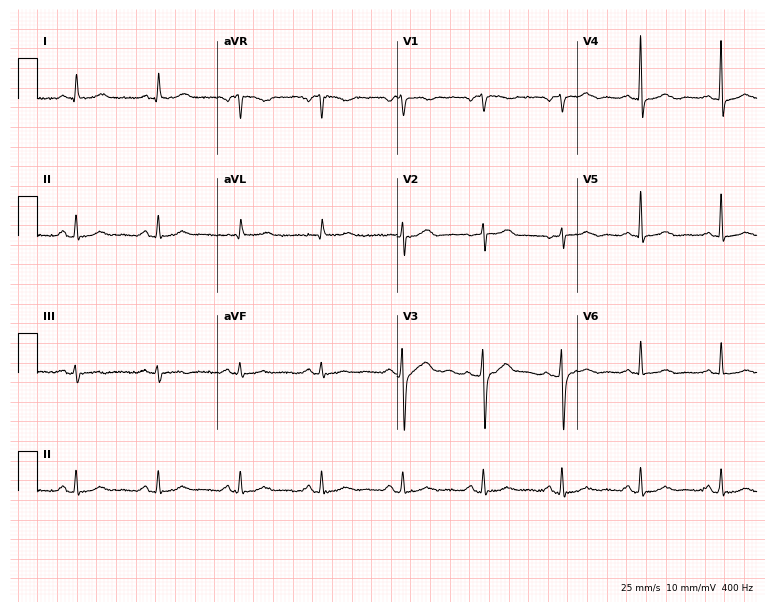
Standard 12-lead ECG recorded from a 65-year-old female. None of these six findings is recorded: first-degree AV block, right bundle branch block (RBBB), left bundle branch block (LBBB), sinus bradycardia, atrial fibrillation (AF), sinus tachycardia.